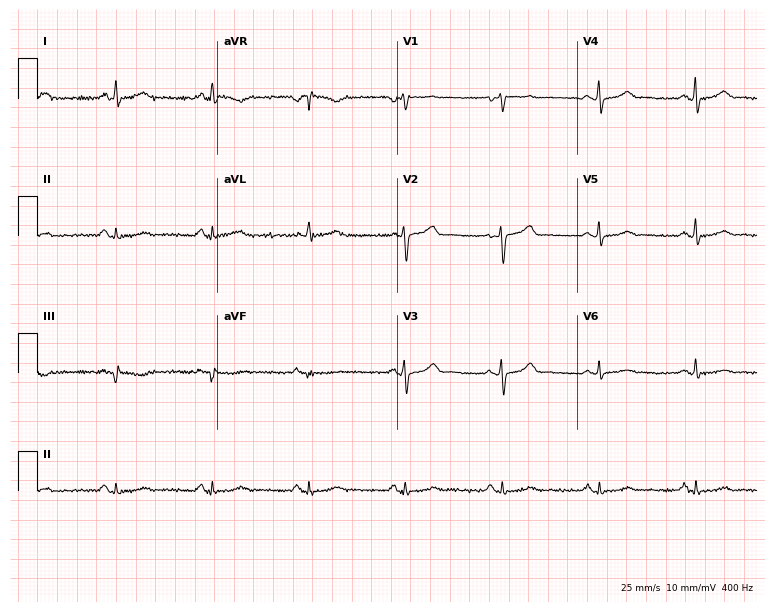
Electrocardiogram (7.3-second recording at 400 Hz), a 54-year-old woman. Of the six screened findings (first-degree AV block, right bundle branch block (RBBB), left bundle branch block (LBBB), sinus bradycardia, atrial fibrillation (AF), sinus tachycardia), none is recorded.